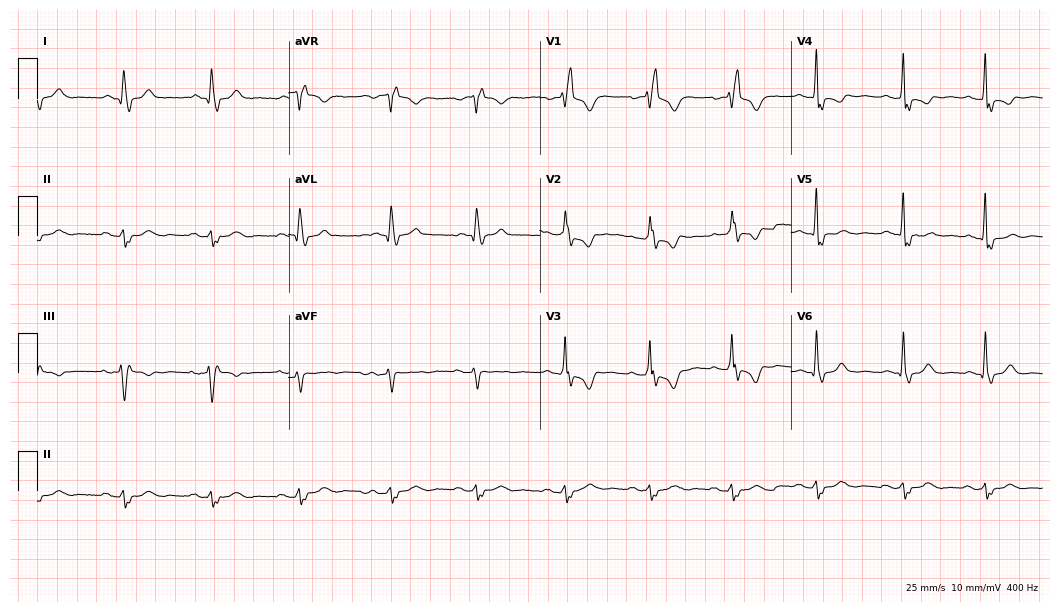
12-lead ECG from a male patient, 69 years old. Findings include right bundle branch block.